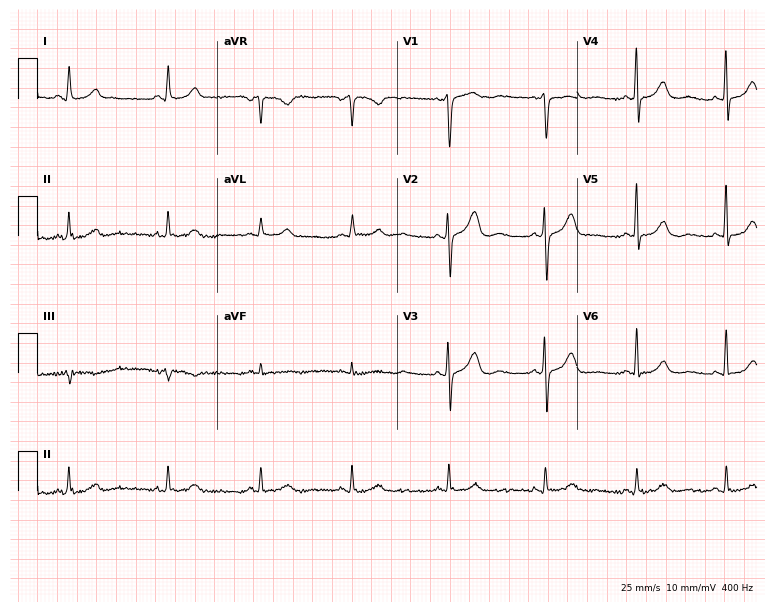
Electrocardiogram, a 57-year-old woman. Overall reading on record: normal ECG.